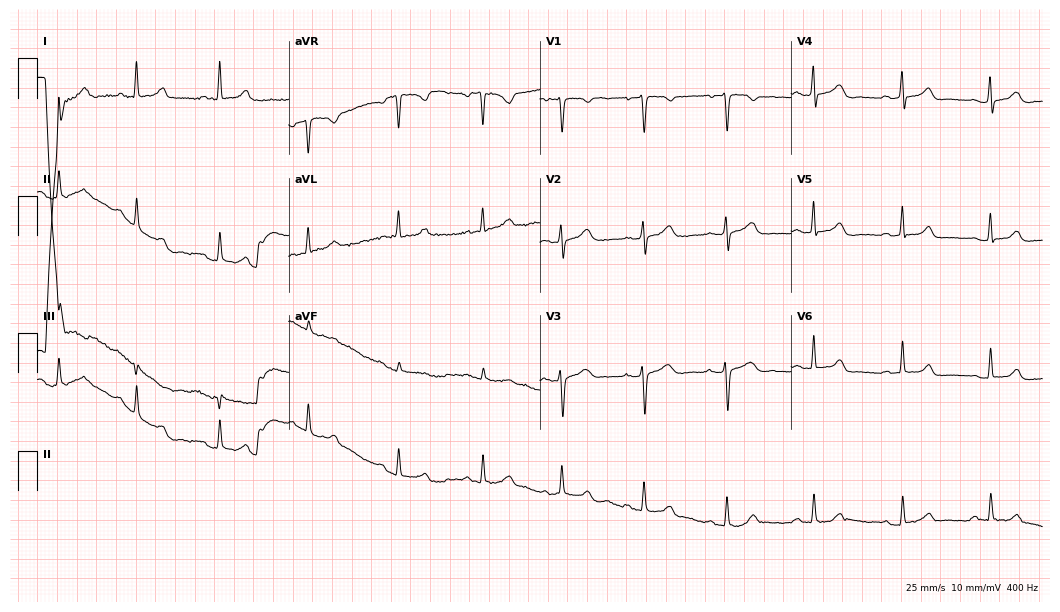
Electrocardiogram (10.2-second recording at 400 Hz), a 37-year-old female patient. Of the six screened findings (first-degree AV block, right bundle branch block, left bundle branch block, sinus bradycardia, atrial fibrillation, sinus tachycardia), none is recorded.